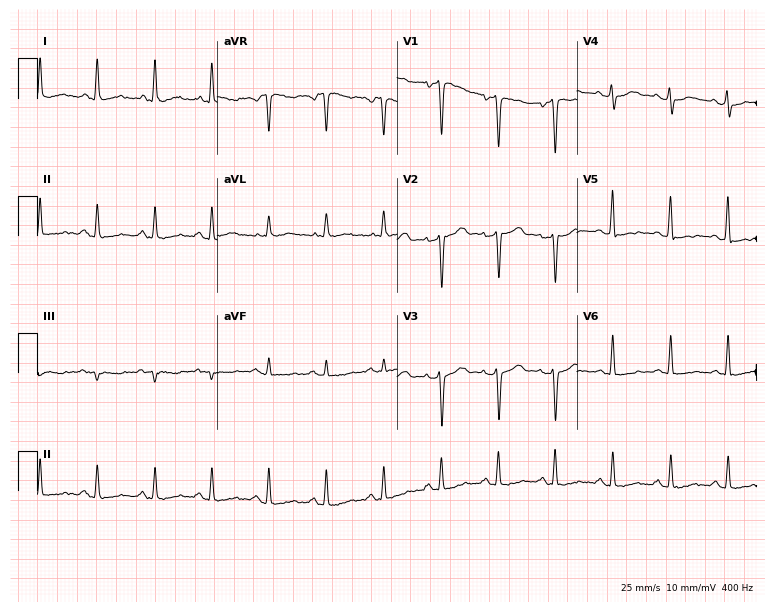
12-lead ECG from a 38-year-old female patient (7.3-second recording at 400 Hz). No first-degree AV block, right bundle branch block, left bundle branch block, sinus bradycardia, atrial fibrillation or sinus tachycardia recorded for this tracing. Only these six findings were labelled.